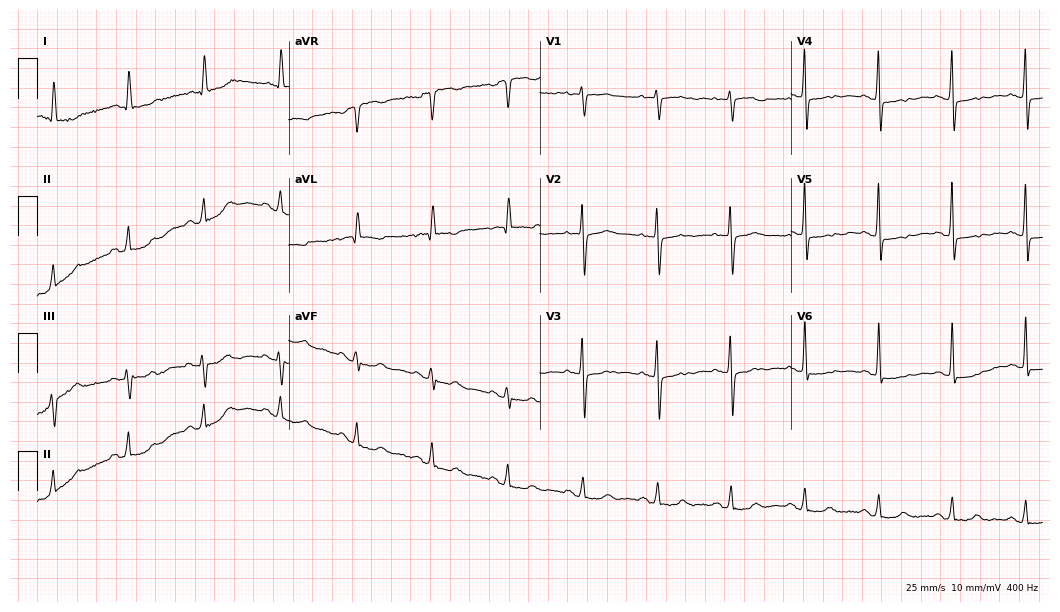
Resting 12-lead electrocardiogram. Patient: an 82-year-old female. Read as a normal ECG.